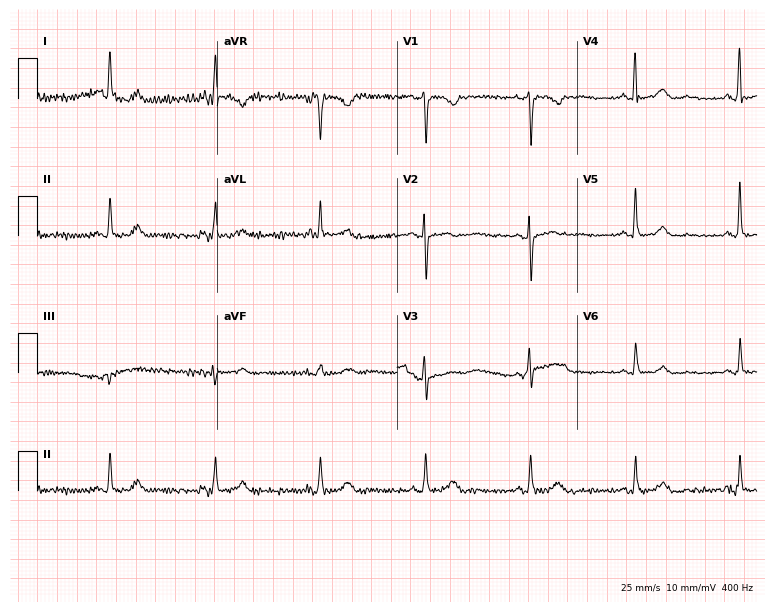
ECG (7.3-second recording at 400 Hz) — a female, 81 years old. Labelled as a normal ECG.